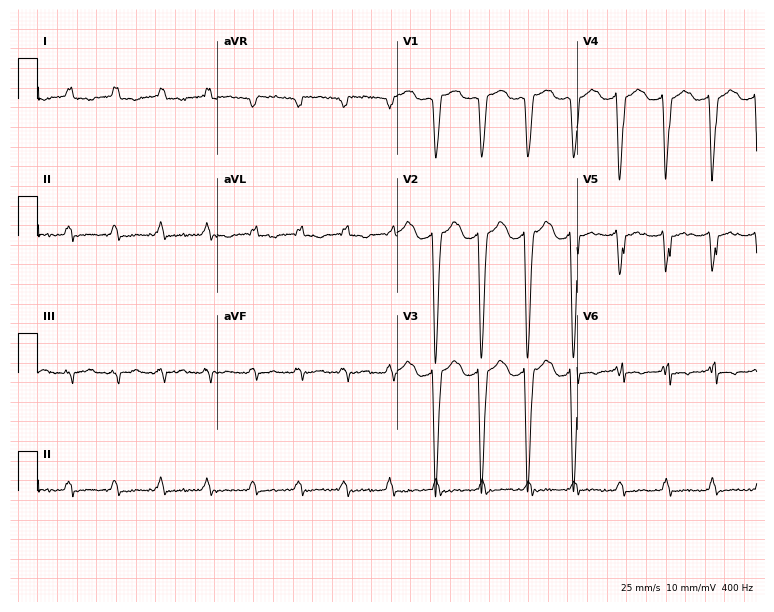
12-lead ECG from an 81-year-old female (7.3-second recording at 400 Hz). Shows atrial fibrillation (AF), sinus tachycardia (a sinus rate of 100 beats per minute or more).